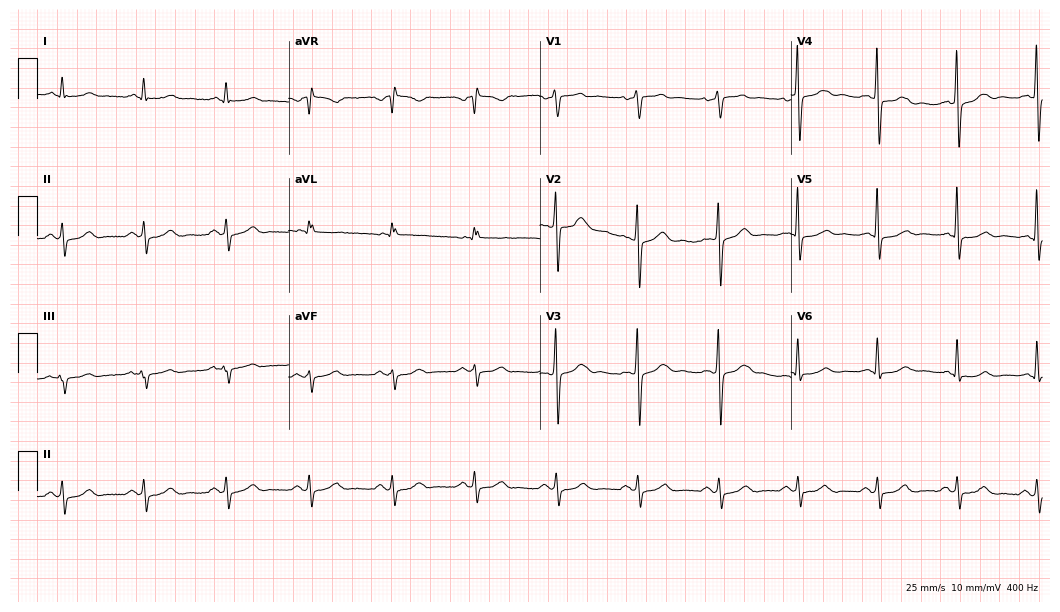
Resting 12-lead electrocardiogram. Patient: a 67-year-old male. None of these six findings is recorded: first-degree AV block, right bundle branch block, left bundle branch block, sinus bradycardia, atrial fibrillation, sinus tachycardia.